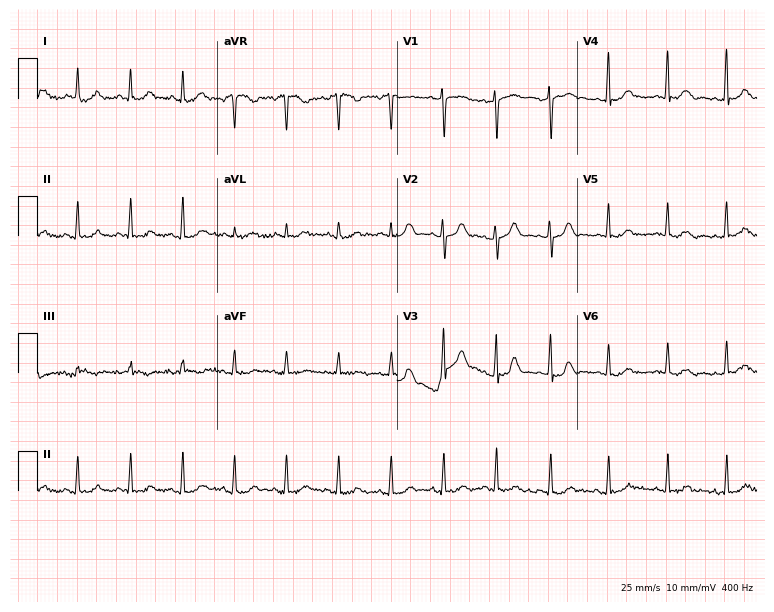
12-lead ECG from a female patient, 42 years old. No first-degree AV block, right bundle branch block, left bundle branch block, sinus bradycardia, atrial fibrillation or sinus tachycardia recorded for this tracing. Findings outside these six are not listed.